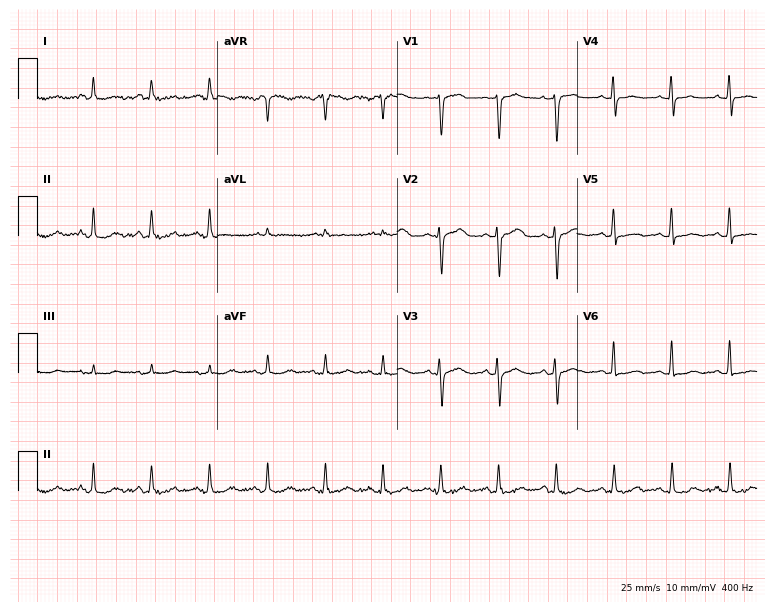
12-lead ECG from a 49-year-old woman. Recorded interpretation: within normal limits.